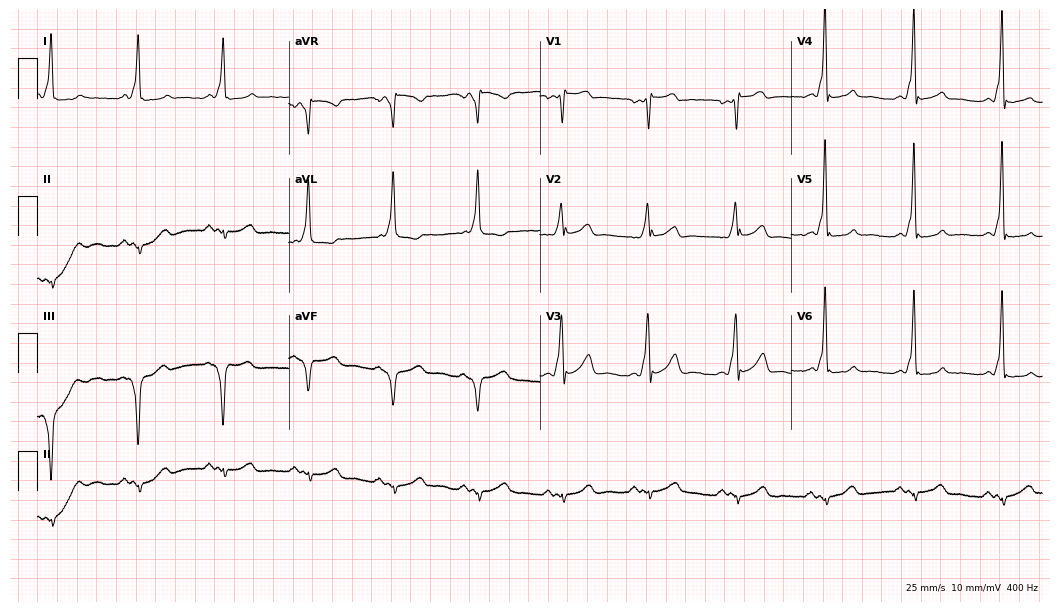
Electrocardiogram (10.2-second recording at 400 Hz), a 63-year-old woman. Of the six screened findings (first-degree AV block, right bundle branch block, left bundle branch block, sinus bradycardia, atrial fibrillation, sinus tachycardia), none is recorded. Only these six findings were labelled.